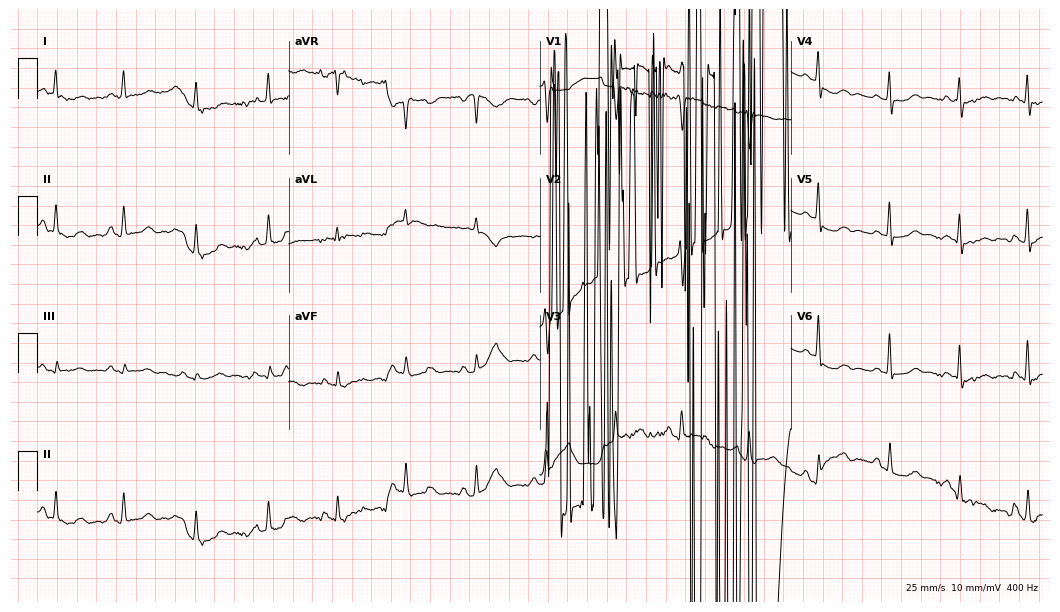
ECG (10.2-second recording at 400 Hz) — a female patient, 51 years old. Screened for six findings — first-degree AV block, right bundle branch block, left bundle branch block, sinus bradycardia, atrial fibrillation, sinus tachycardia — none is recorded.